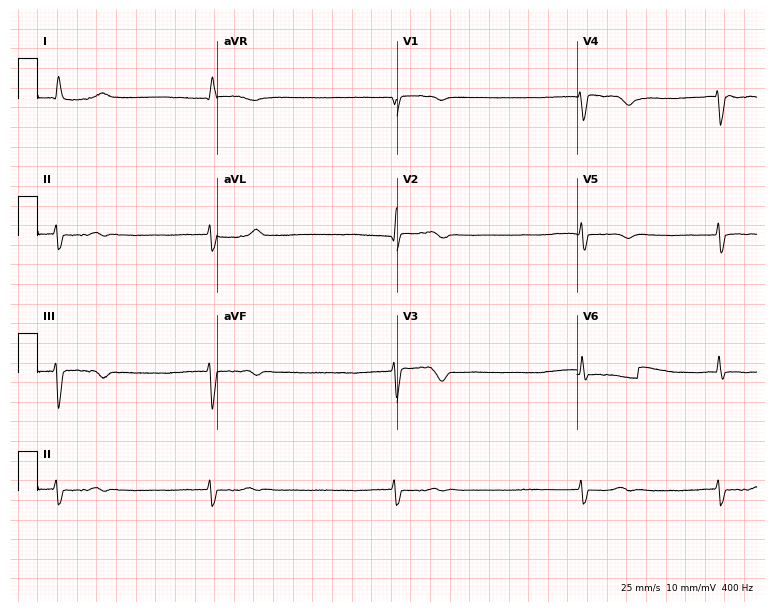
Electrocardiogram, a 71-year-old female patient. Interpretation includes atrial fibrillation (AF).